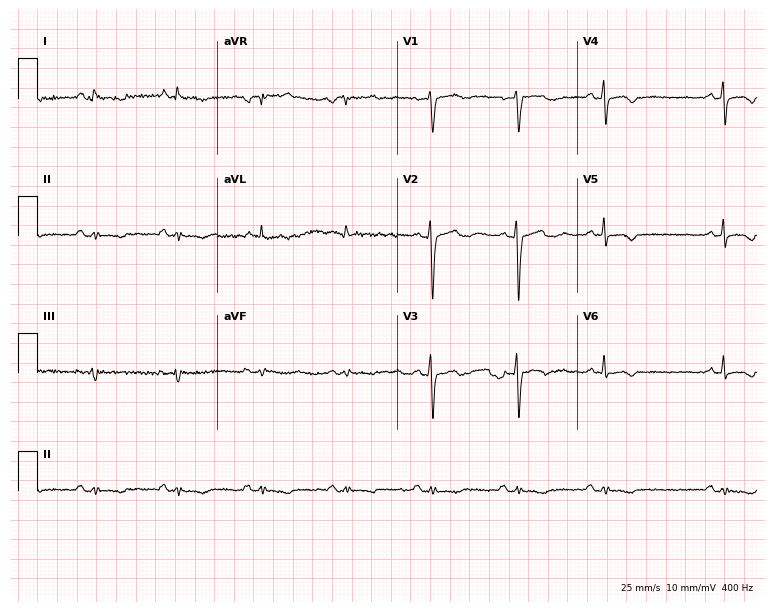
12-lead ECG from an 85-year-old man. Screened for six findings — first-degree AV block, right bundle branch block, left bundle branch block, sinus bradycardia, atrial fibrillation, sinus tachycardia — none is recorded.